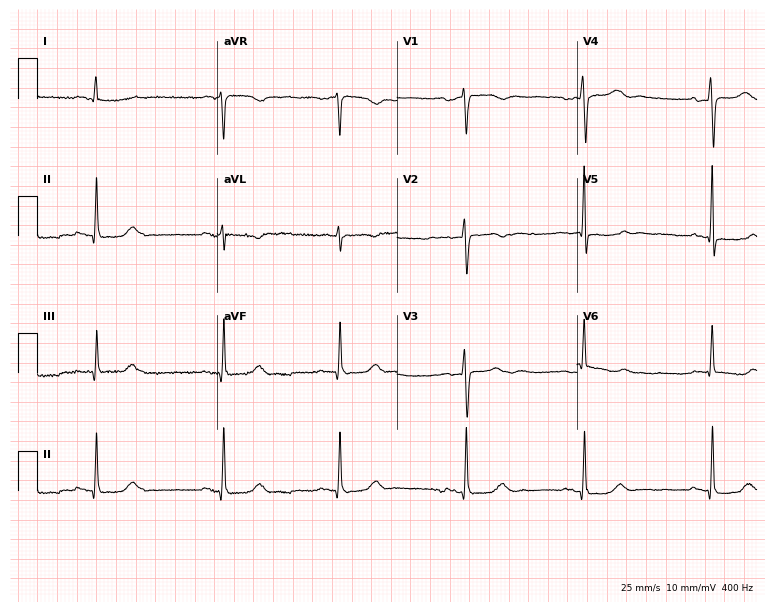
Electrocardiogram, a woman, 77 years old. Interpretation includes right bundle branch block (RBBB).